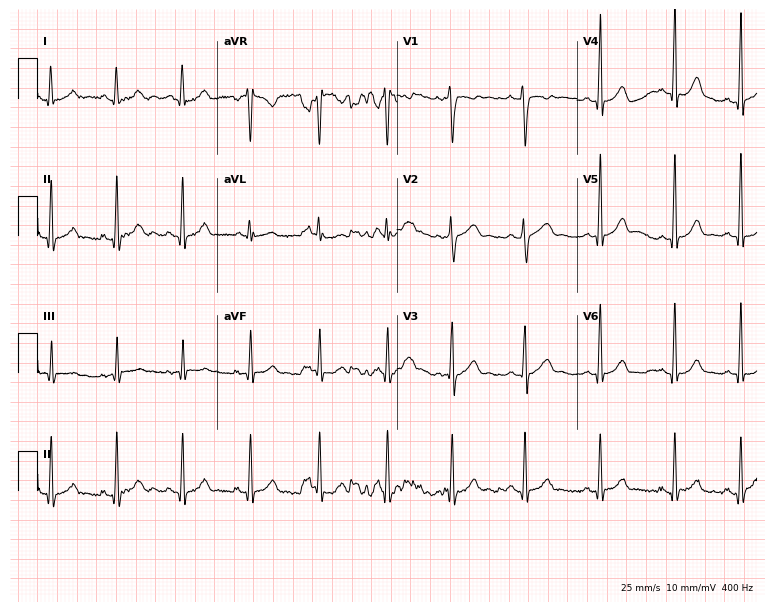
Electrocardiogram (7.3-second recording at 400 Hz), a woman, 20 years old. Overall reading on record: normal ECG.